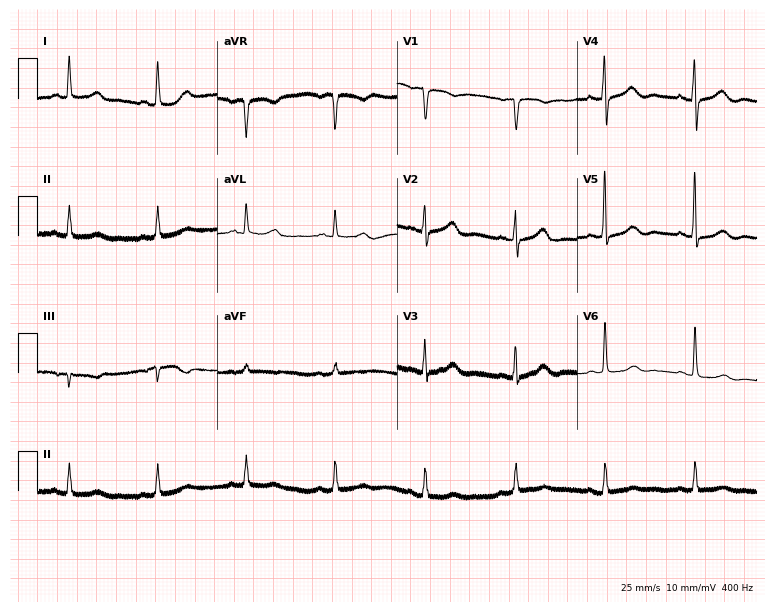
Standard 12-lead ECG recorded from an 83-year-old female. None of these six findings is recorded: first-degree AV block, right bundle branch block (RBBB), left bundle branch block (LBBB), sinus bradycardia, atrial fibrillation (AF), sinus tachycardia.